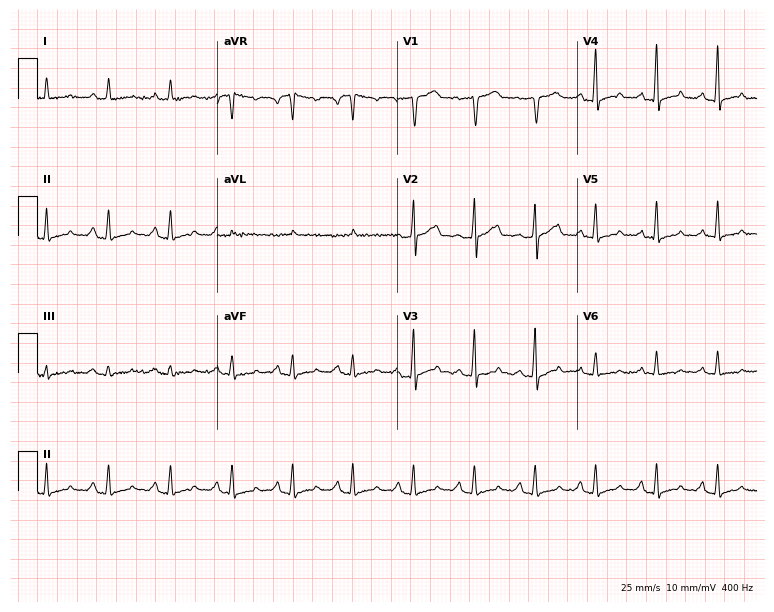
12-lead ECG (7.3-second recording at 400 Hz) from a male patient, 66 years old. Labelled as a normal ECG.